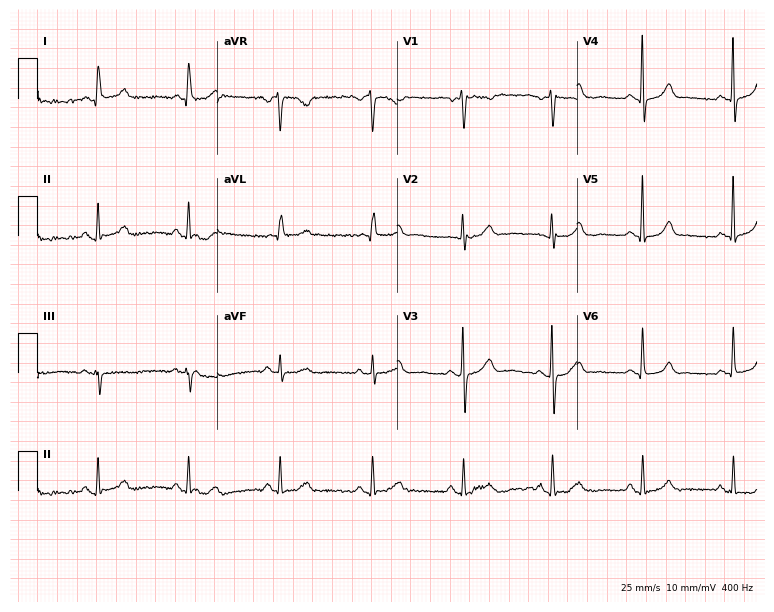
12-lead ECG from a female, 68 years old. Recorded interpretation: within normal limits.